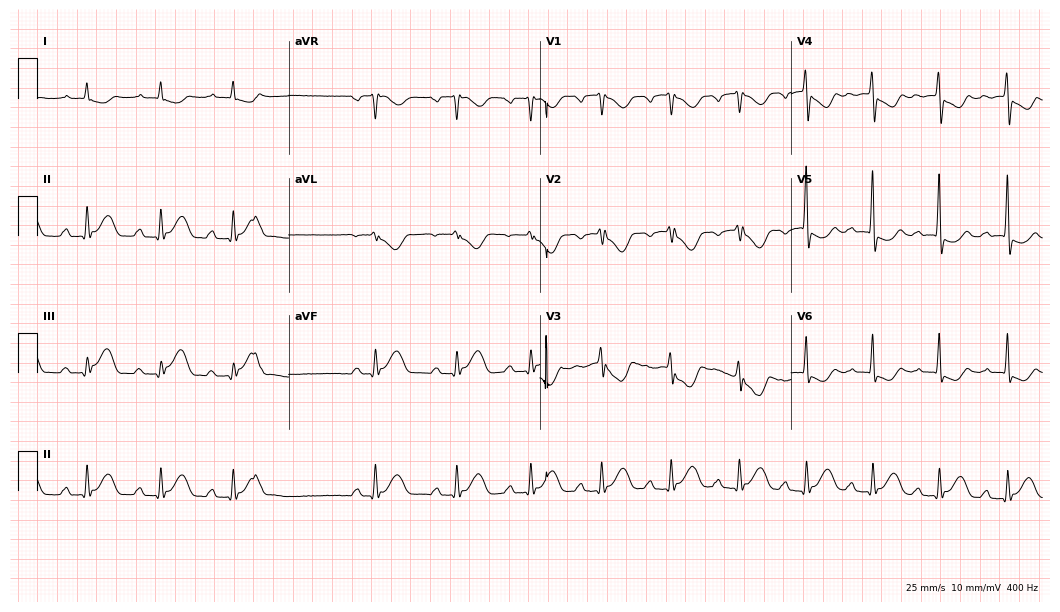
Electrocardiogram (10.2-second recording at 400 Hz), a man, 66 years old. Interpretation includes first-degree AV block.